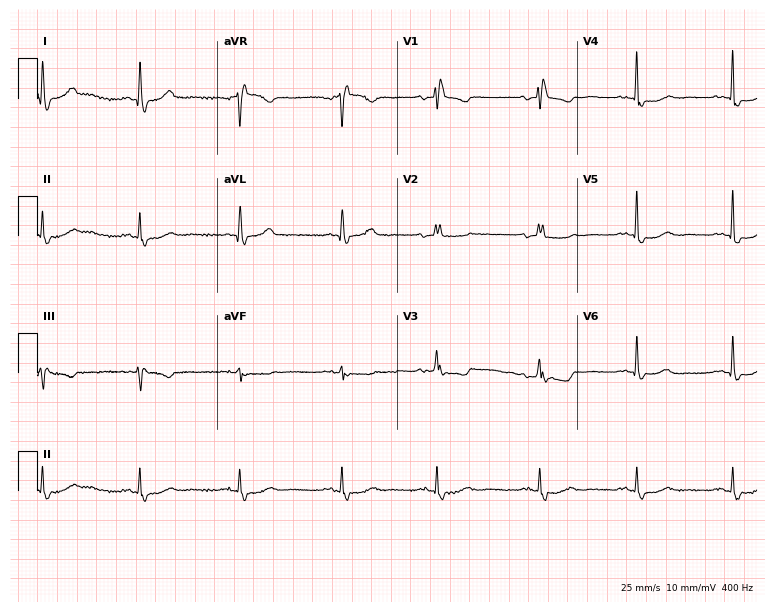
Standard 12-lead ECG recorded from a 74-year-old female patient. The tracing shows right bundle branch block.